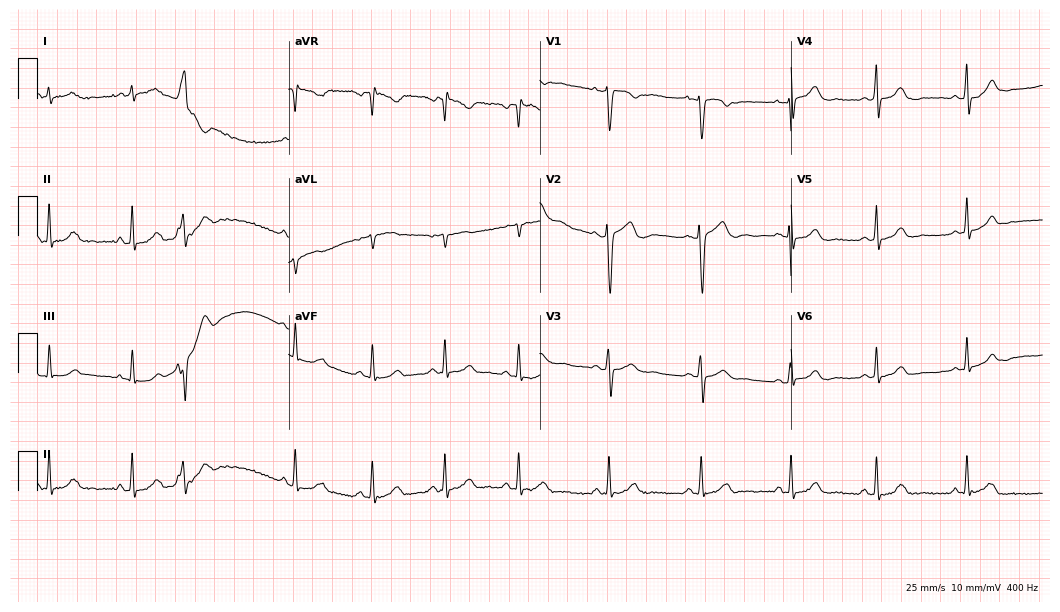
Electrocardiogram (10.2-second recording at 400 Hz), a 26-year-old male patient. Of the six screened findings (first-degree AV block, right bundle branch block, left bundle branch block, sinus bradycardia, atrial fibrillation, sinus tachycardia), none is recorded.